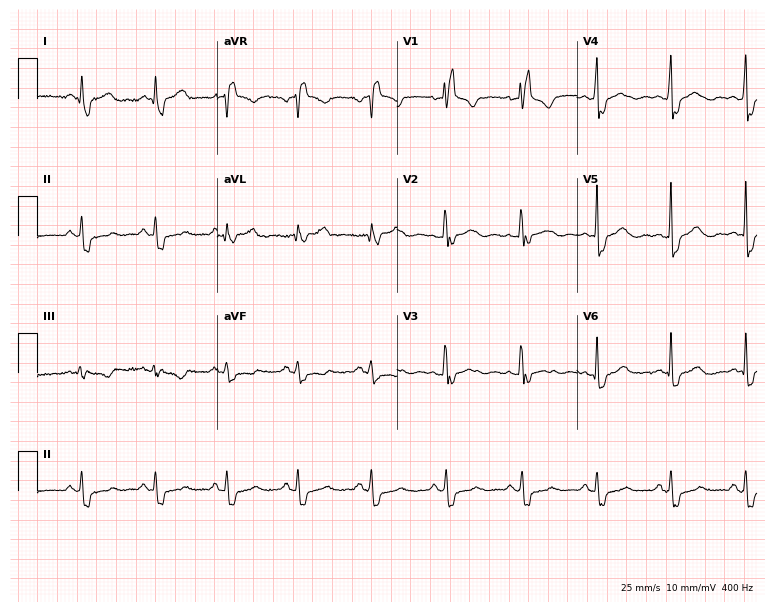
Standard 12-lead ECG recorded from a female patient, 48 years old (7.3-second recording at 400 Hz). The tracing shows right bundle branch block (RBBB).